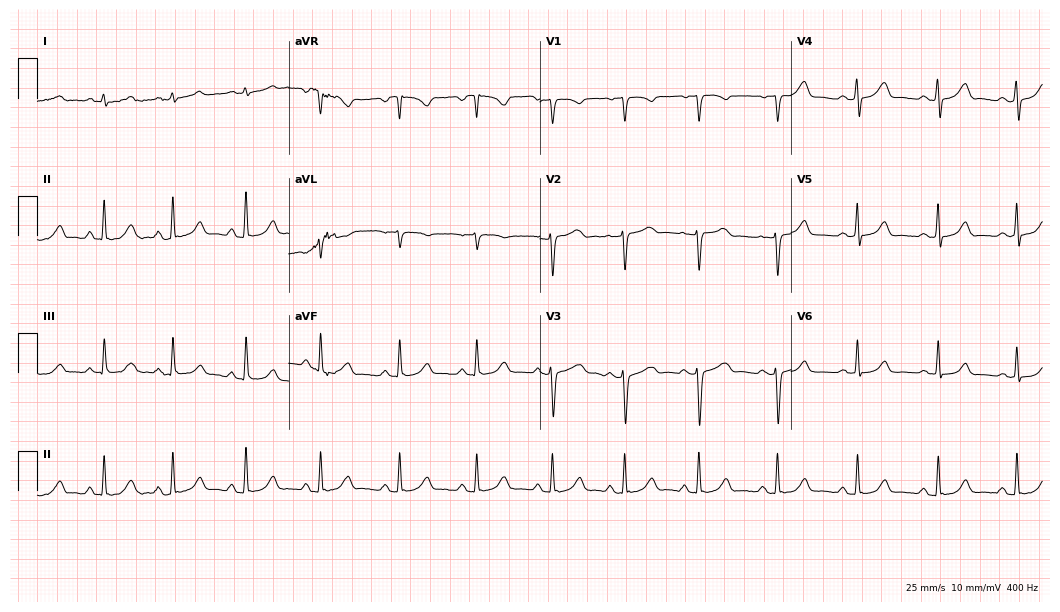
Resting 12-lead electrocardiogram. Patient: a 28-year-old woman. Read as a normal ECG.